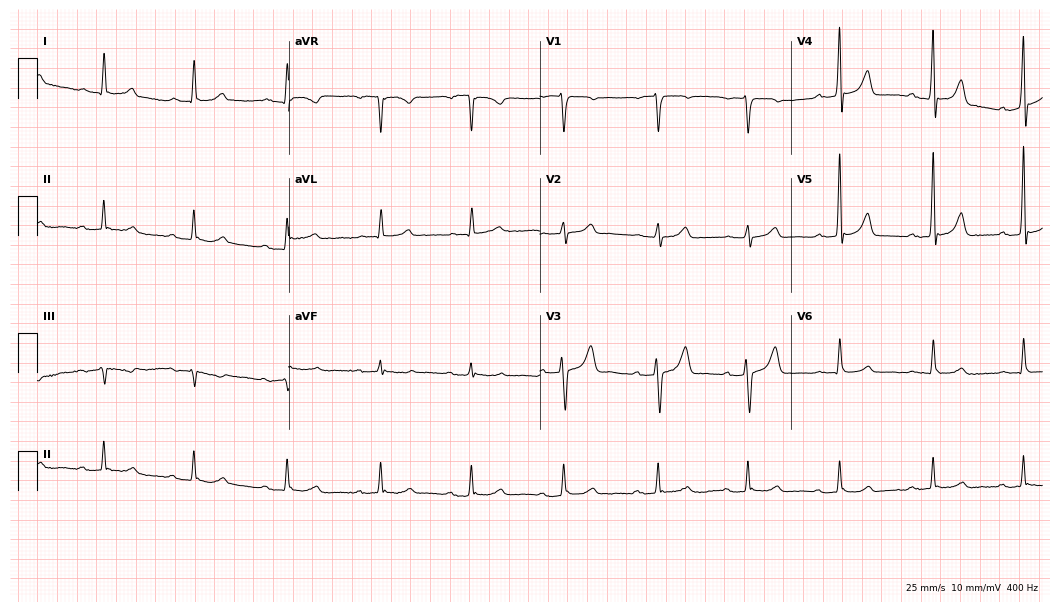
ECG (10.2-second recording at 400 Hz) — a man, 66 years old. Labelled as a normal ECG.